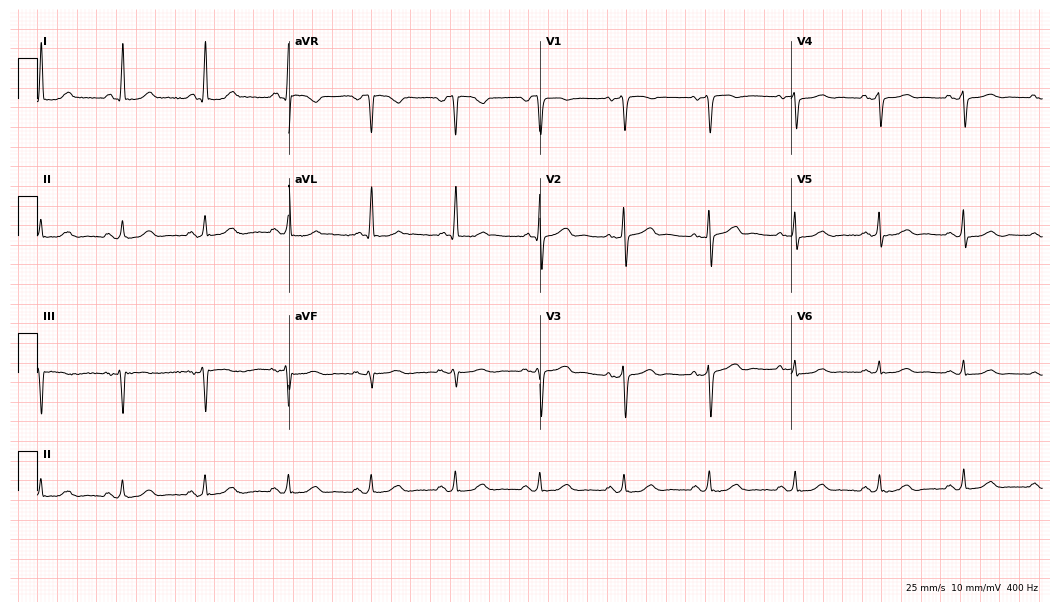
12-lead ECG from a 74-year-old female patient. Screened for six findings — first-degree AV block, right bundle branch block, left bundle branch block, sinus bradycardia, atrial fibrillation, sinus tachycardia — none is recorded.